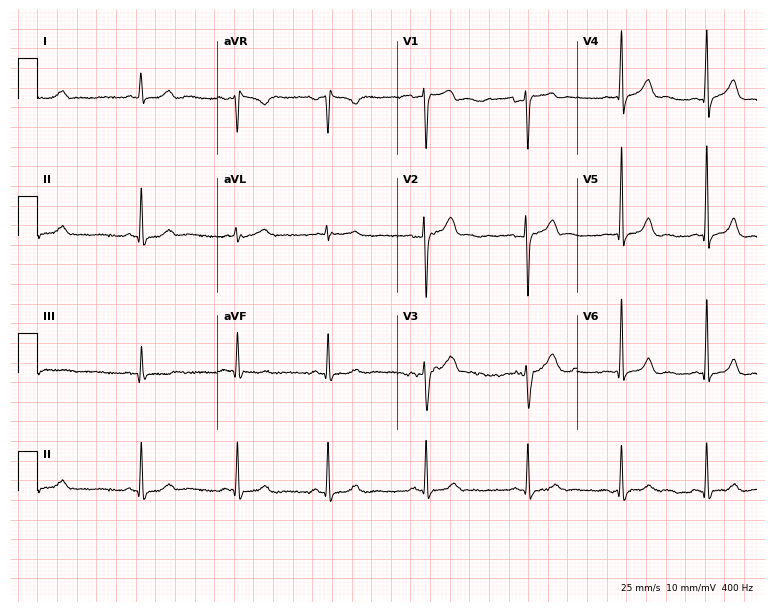
12-lead ECG from a 31-year-old male (7.3-second recording at 400 Hz). Recorded interpretation: within normal limits.